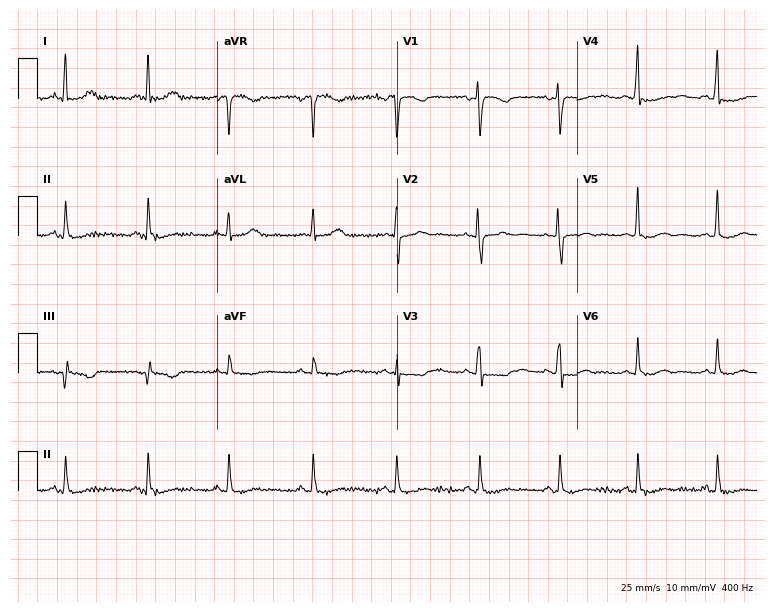
Standard 12-lead ECG recorded from a female patient, 59 years old. None of these six findings is recorded: first-degree AV block, right bundle branch block, left bundle branch block, sinus bradycardia, atrial fibrillation, sinus tachycardia.